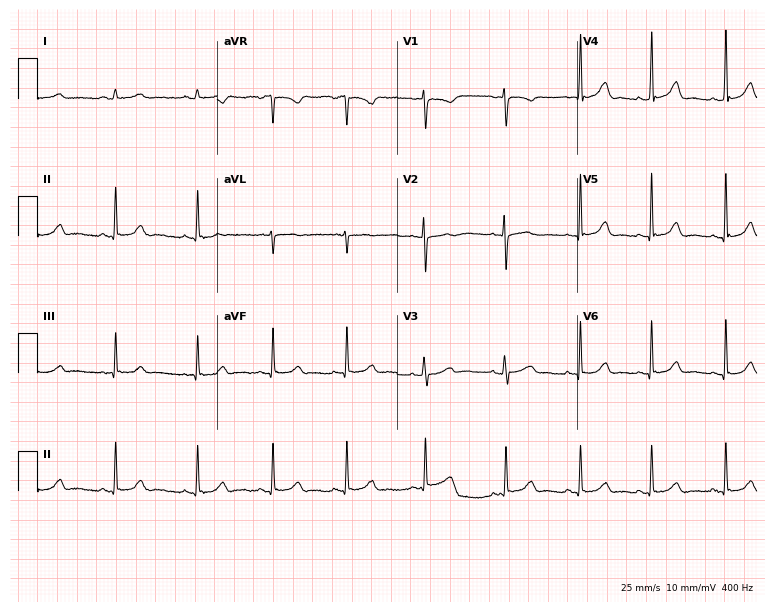
Electrocardiogram, a 27-year-old woman. Overall reading on record: normal ECG.